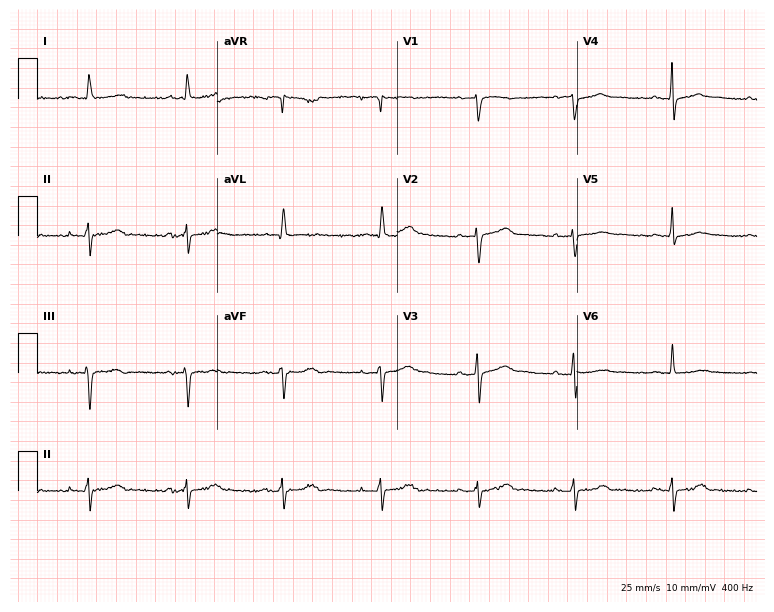
Resting 12-lead electrocardiogram (7.3-second recording at 400 Hz). Patient: an 84-year-old male. None of these six findings is recorded: first-degree AV block, right bundle branch block, left bundle branch block, sinus bradycardia, atrial fibrillation, sinus tachycardia. Other findings, if any, are not listed.